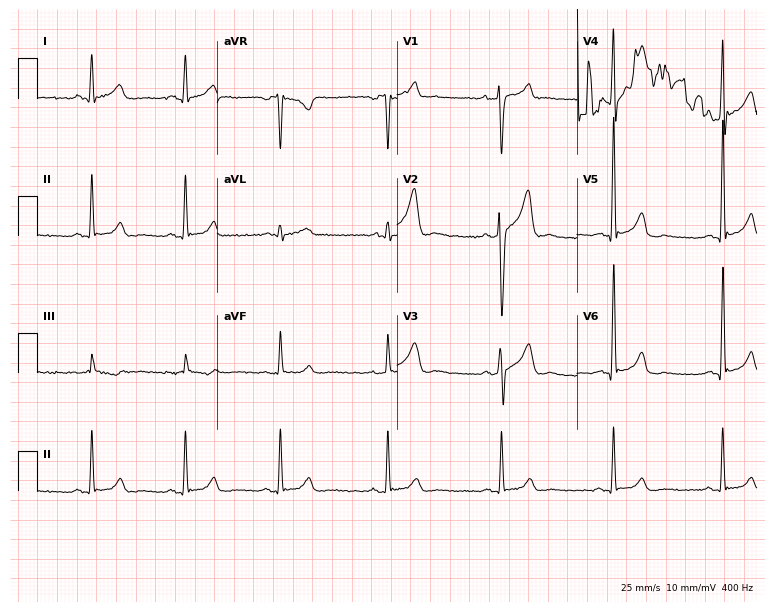
Resting 12-lead electrocardiogram. Patient: a 43-year-old male. None of these six findings is recorded: first-degree AV block, right bundle branch block, left bundle branch block, sinus bradycardia, atrial fibrillation, sinus tachycardia. Findings outside these six are not listed.